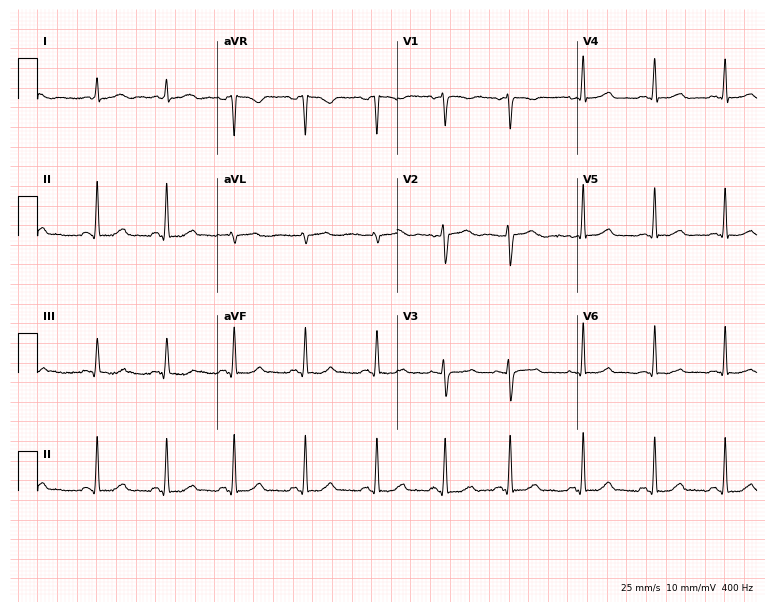
ECG (7.3-second recording at 400 Hz) — a woman, 34 years old. Labelled as a normal ECG.